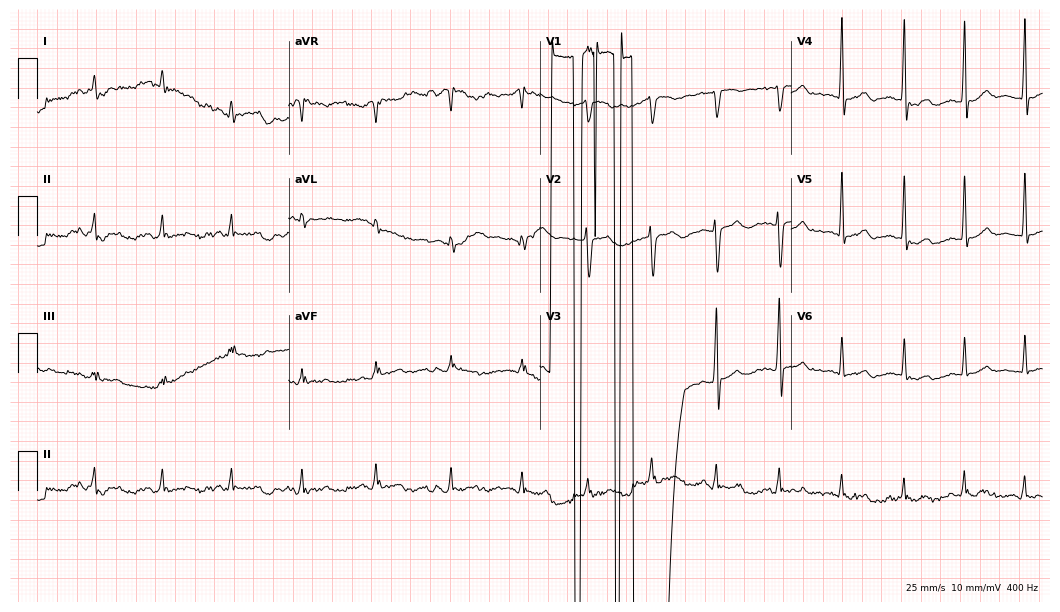
Standard 12-lead ECG recorded from a male patient, 18 years old. None of these six findings is recorded: first-degree AV block, right bundle branch block (RBBB), left bundle branch block (LBBB), sinus bradycardia, atrial fibrillation (AF), sinus tachycardia. Findings outside these six are not listed.